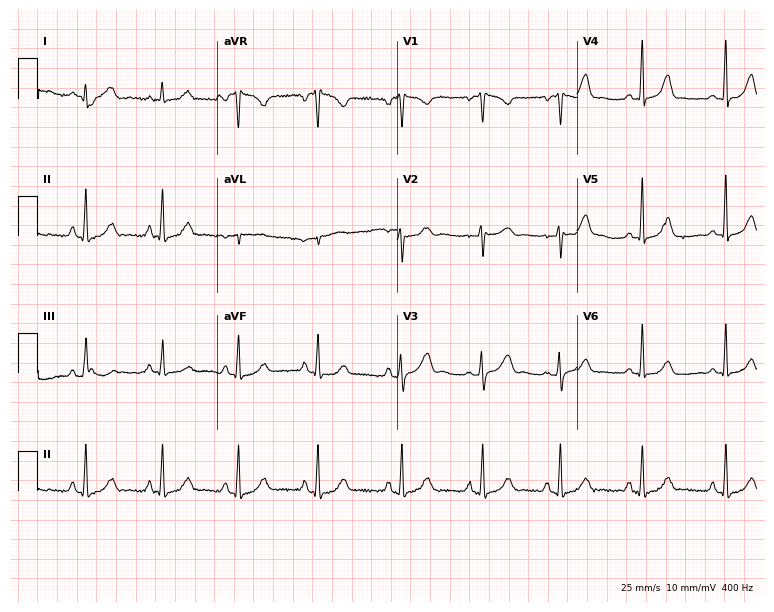
Resting 12-lead electrocardiogram. Patient: a female, 36 years old. Read as a normal ECG.